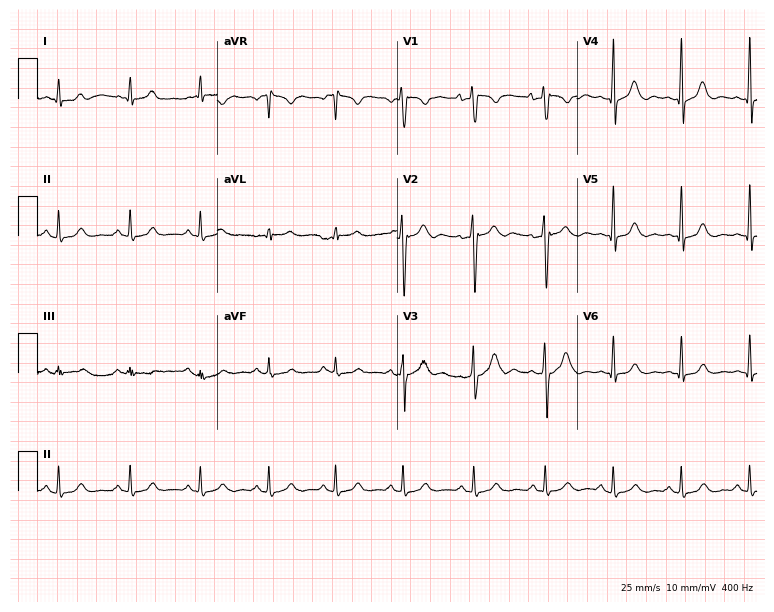
Standard 12-lead ECG recorded from a 37-year-old male (7.3-second recording at 400 Hz). Read as a normal ECG.